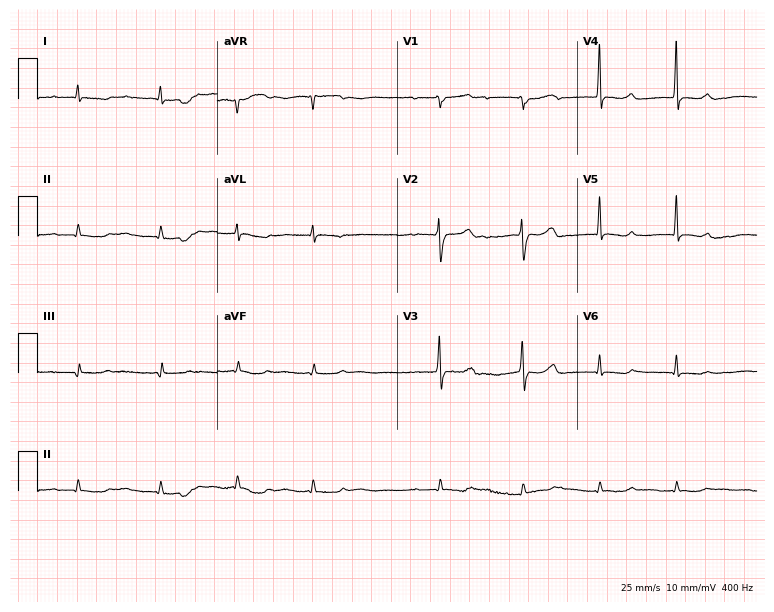
12-lead ECG from a man, 50 years old. Shows atrial fibrillation.